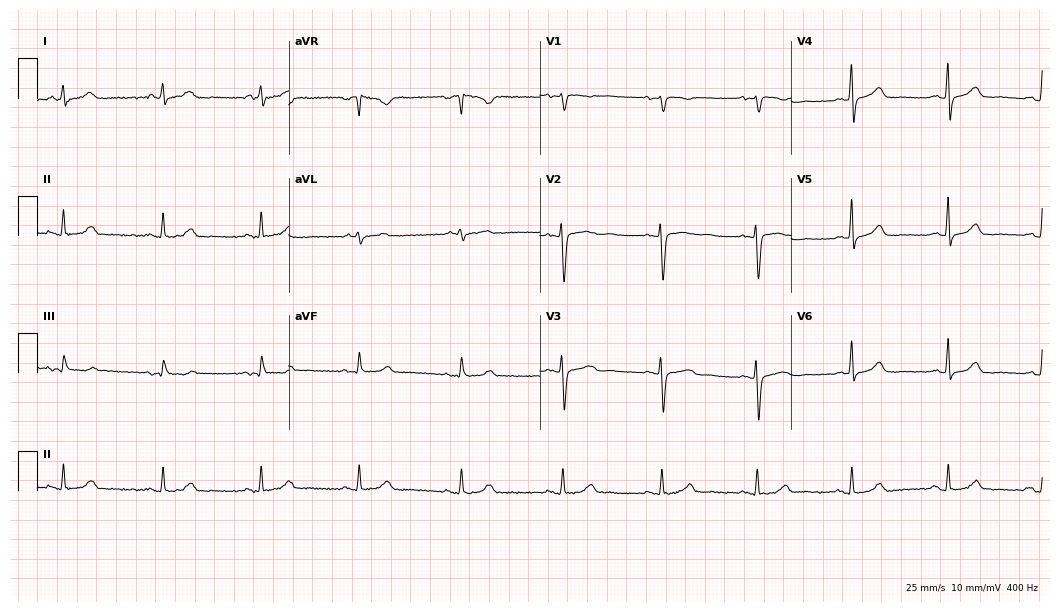
Resting 12-lead electrocardiogram. Patient: a 48-year-old female. Read as a normal ECG.